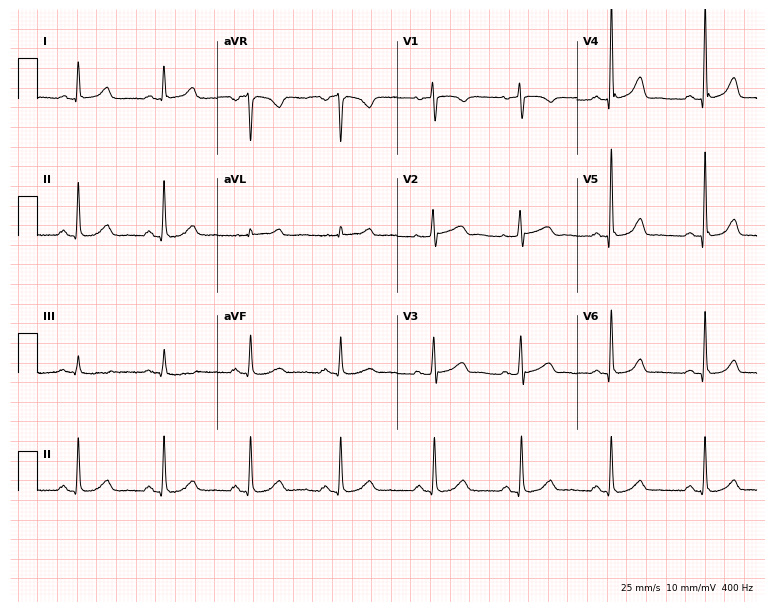
12-lead ECG from a female patient, 64 years old (7.3-second recording at 400 Hz). Recorded interpretation: within normal limits.